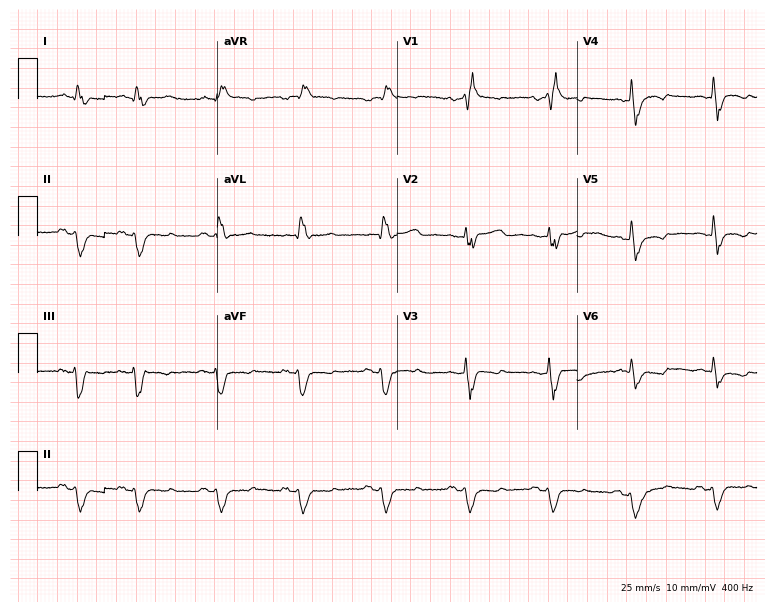
Standard 12-lead ECG recorded from a male, 46 years old. The tracing shows right bundle branch block.